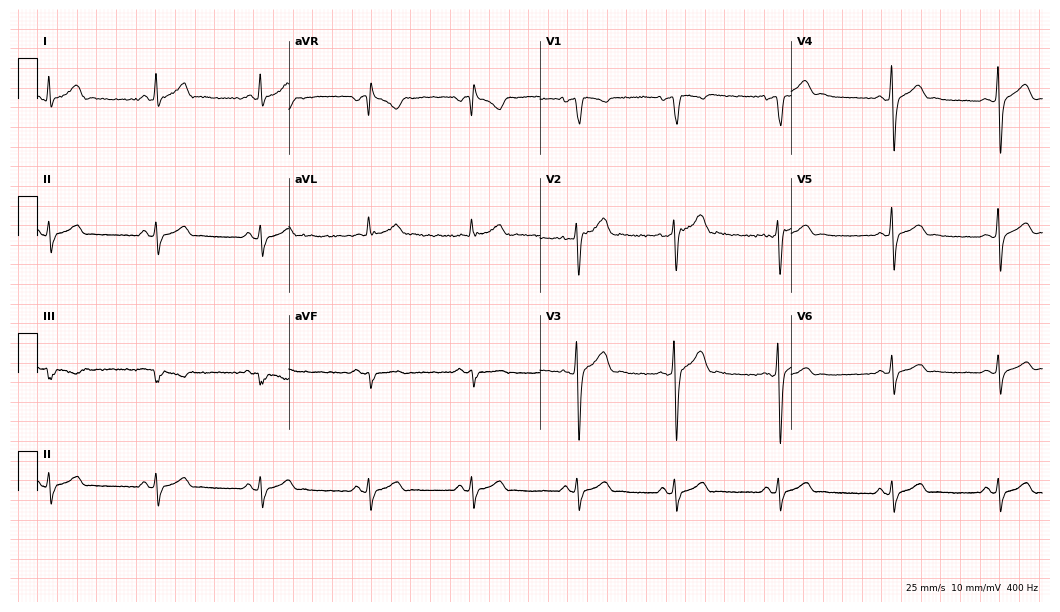
Resting 12-lead electrocardiogram. Patient: a 38-year-old male. None of these six findings is recorded: first-degree AV block, right bundle branch block, left bundle branch block, sinus bradycardia, atrial fibrillation, sinus tachycardia.